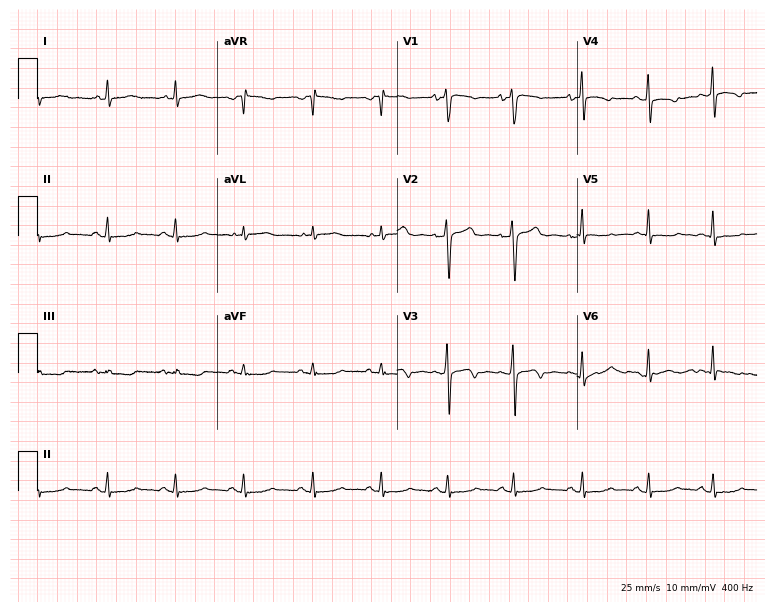
ECG — a 68-year-old female. Screened for six findings — first-degree AV block, right bundle branch block, left bundle branch block, sinus bradycardia, atrial fibrillation, sinus tachycardia — none is recorded.